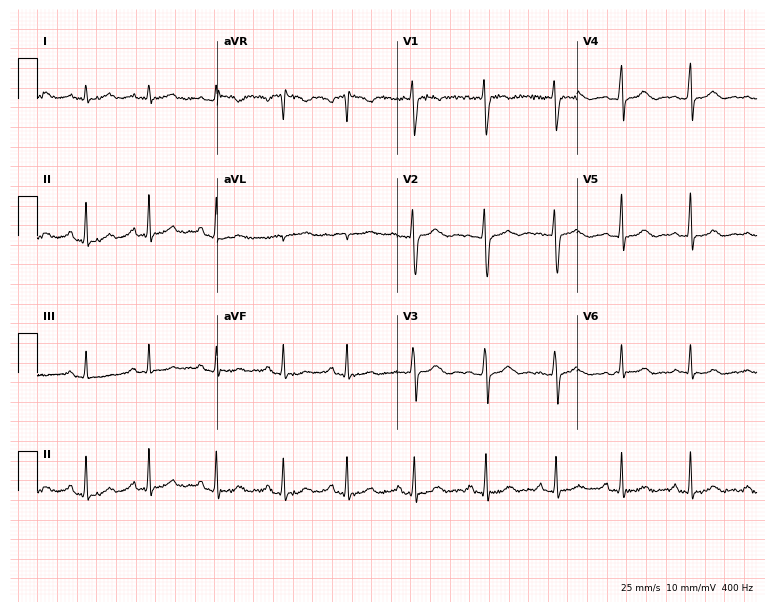
12-lead ECG from a female, 26 years old (7.3-second recording at 400 Hz). Recorded interpretation: within normal limits.